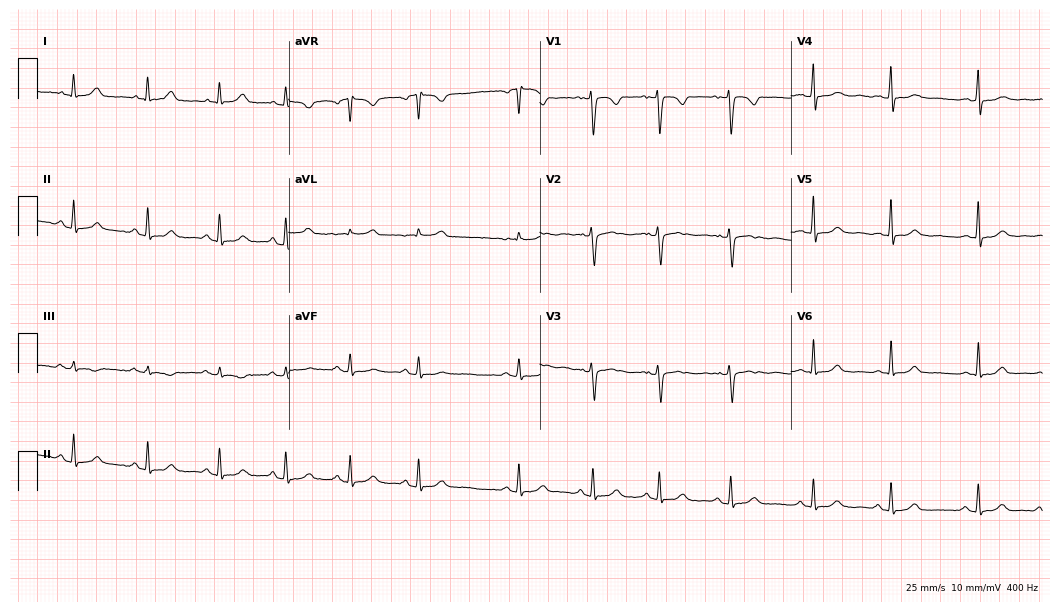
12-lead ECG (10.2-second recording at 400 Hz) from a woman, 33 years old. Screened for six findings — first-degree AV block, right bundle branch block (RBBB), left bundle branch block (LBBB), sinus bradycardia, atrial fibrillation (AF), sinus tachycardia — none is recorded. Findings outside these six are not listed.